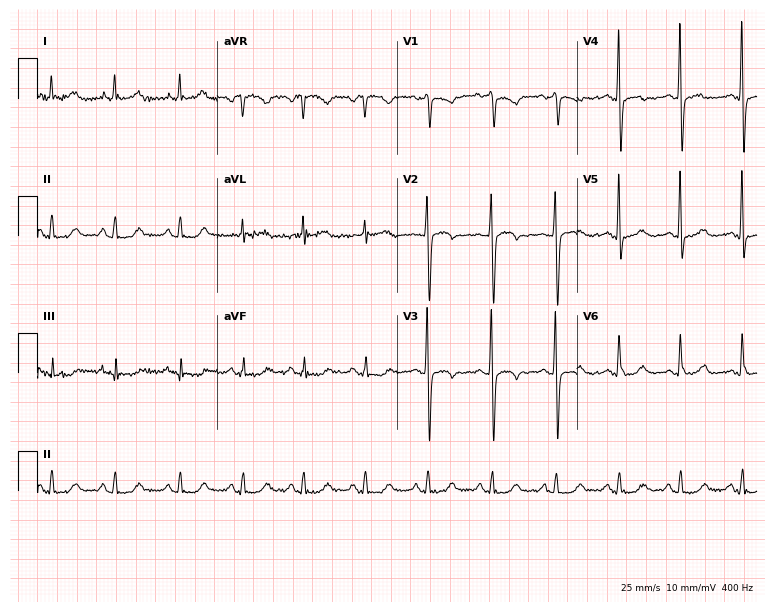
Resting 12-lead electrocardiogram. Patient: a 47-year-old female. None of these six findings is recorded: first-degree AV block, right bundle branch block, left bundle branch block, sinus bradycardia, atrial fibrillation, sinus tachycardia. Other findings, if any, are not listed.